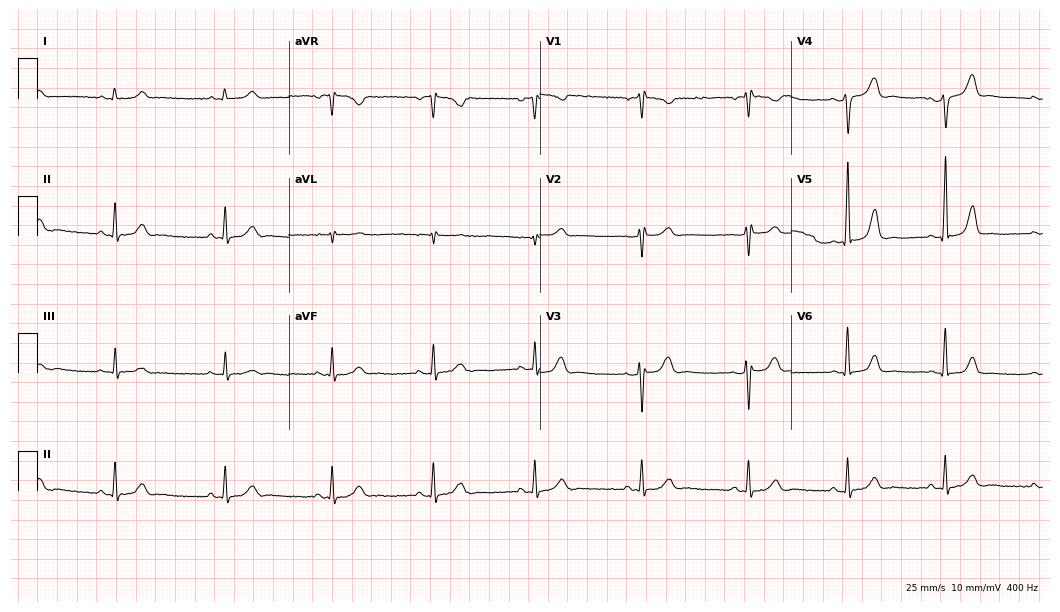
12-lead ECG from a 35-year-old female. Screened for six findings — first-degree AV block, right bundle branch block (RBBB), left bundle branch block (LBBB), sinus bradycardia, atrial fibrillation (AF), sinus tachycardia — none is recorded.